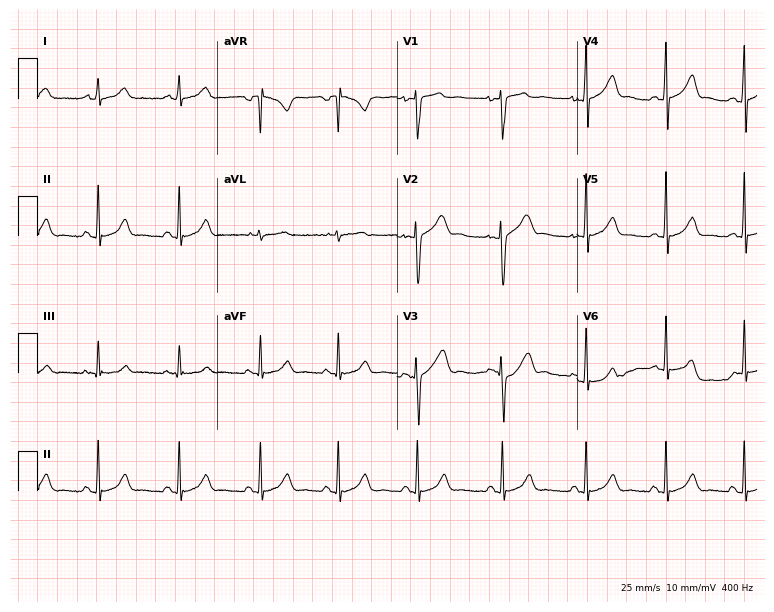
Resting 12-lead electrocardiogram. Patient: a 19-year-old female. Read as a normal ECG.